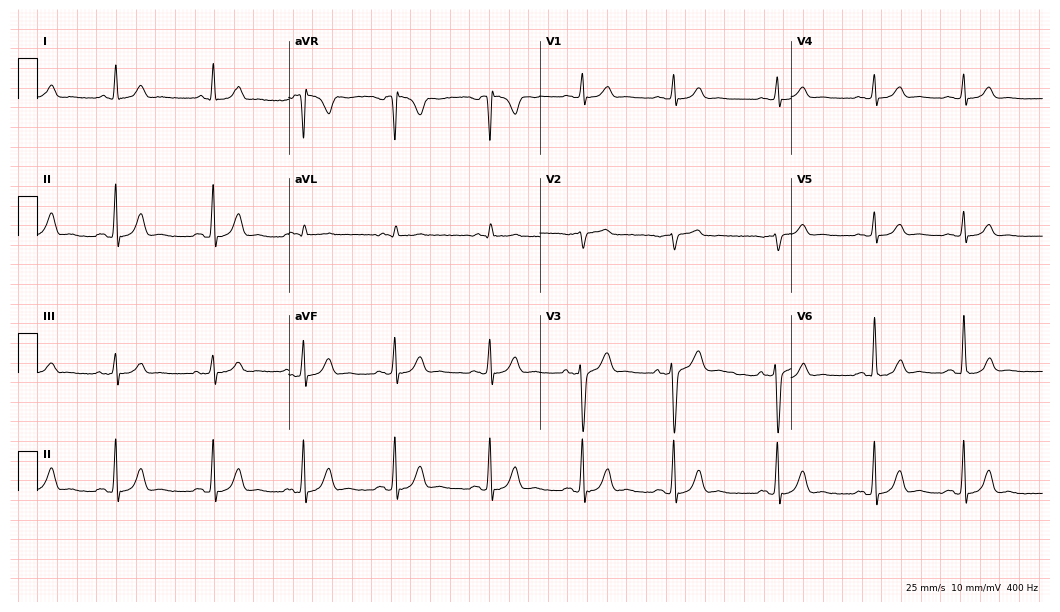
Electrocardiogram (10.2-second recording at 400 Hz), a 63-year-old male. Overall reading on record: normal ECG.